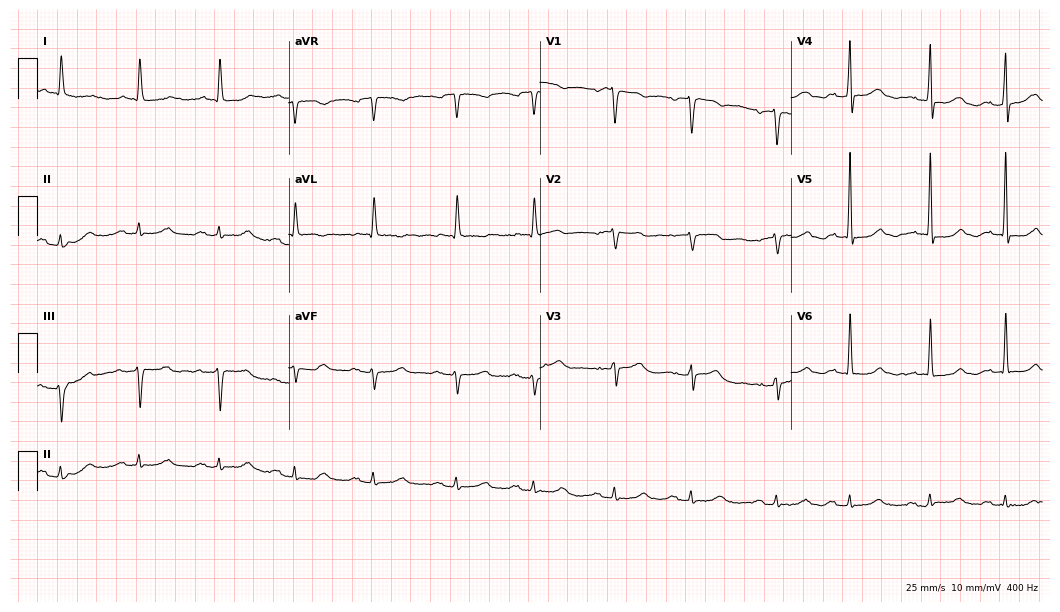
Resting 12-lead electrocardiogram. Patient: a 73-year-old female. None of these six findings is recorded: first-degree AV block, right bundle branch block, left bundle branch block, sinus bradycardia, atrial fibrillation, sinus tachycardia. Findings outside these six are not listed.